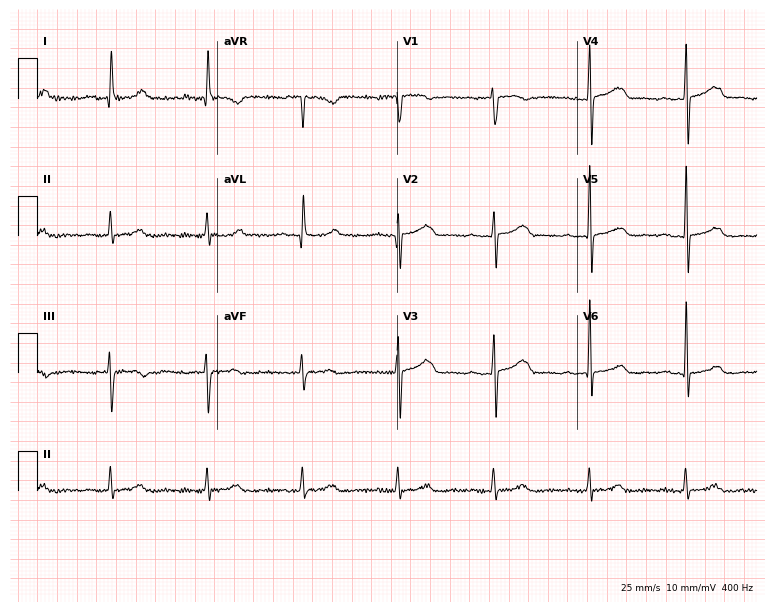
Electrocardiogram, a 77-year-old female. Of the six screened findings (first-degree AV block, right bundle branch block, left bundle branch block, sinus bradycardia, atrial fibrillation, sinus tachycardia), none is recorded. Only these six findings were labelled.